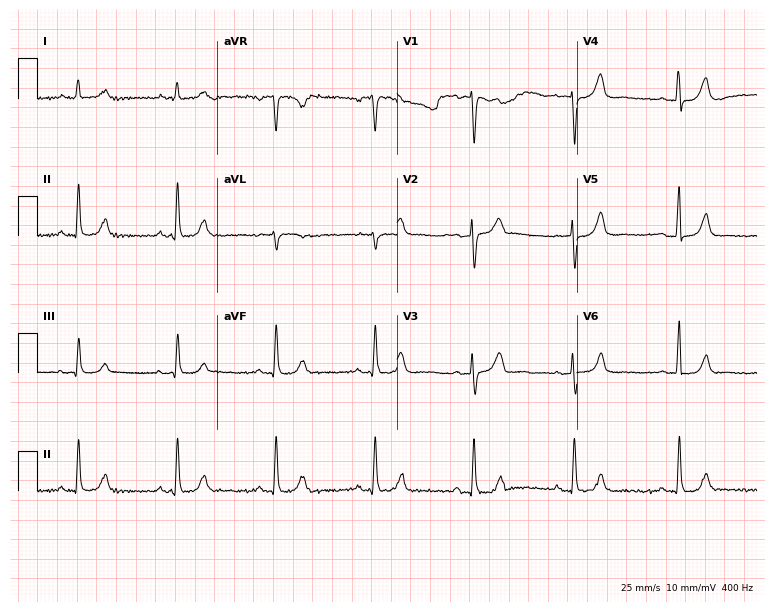
Resting 12-lead electrocardiogram. Patient: a male, 83 years old. Read as a normal ECG.